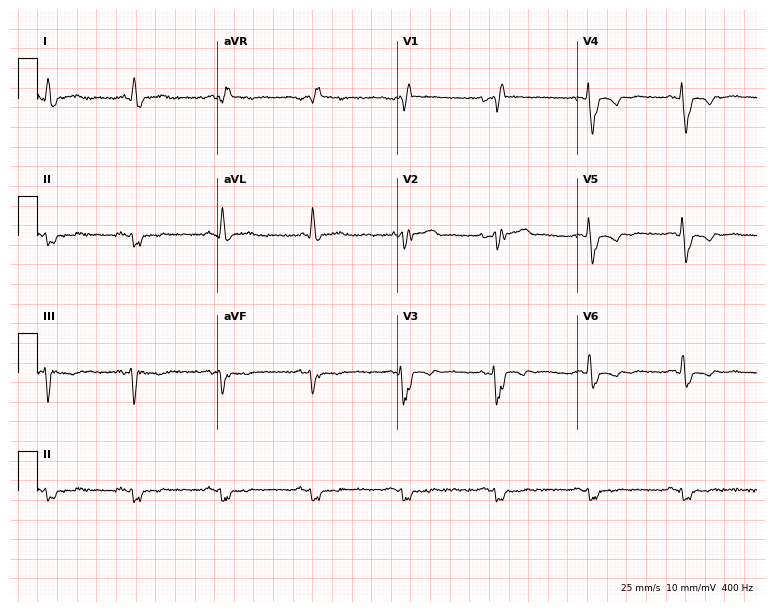
ECG — a male, 56 years old. Findings include right bundle branch block.